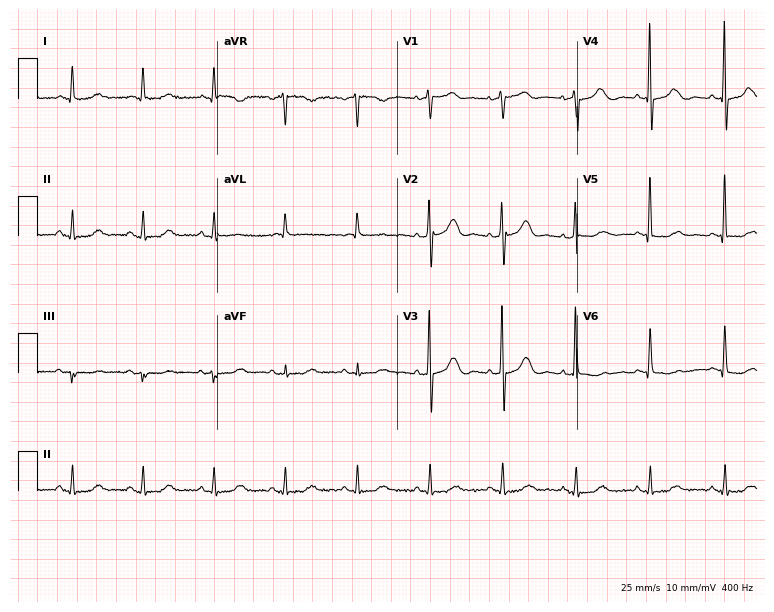
Standard 12-lead ECG recorded from a woman, 85 years old. None of these six findings is recorded: first-degree AV block, right bundle branch block, left bundle branch block, sinus bradycardia, atrial fibrillation, sinus tachycardia. Findings outside these six are not listed.